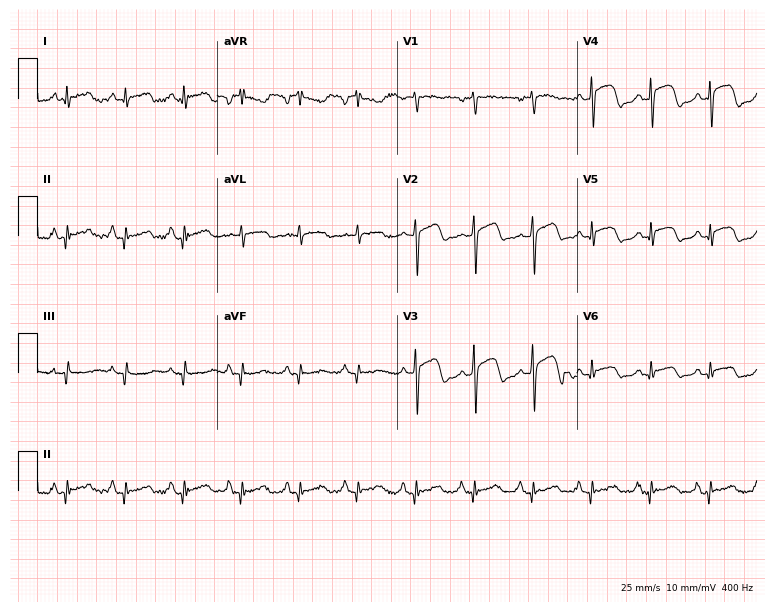
Standard 12-lead ECG recorded from a 63-year-old woman (7.3-second recording at 400 Hz). None of these six findings is recorded: first-degree AV block, right bundle branch block, left bundle branch block, sinus bradycardia, atrial fibrillation, sinus tachycardia. Only these six findings were labelled.